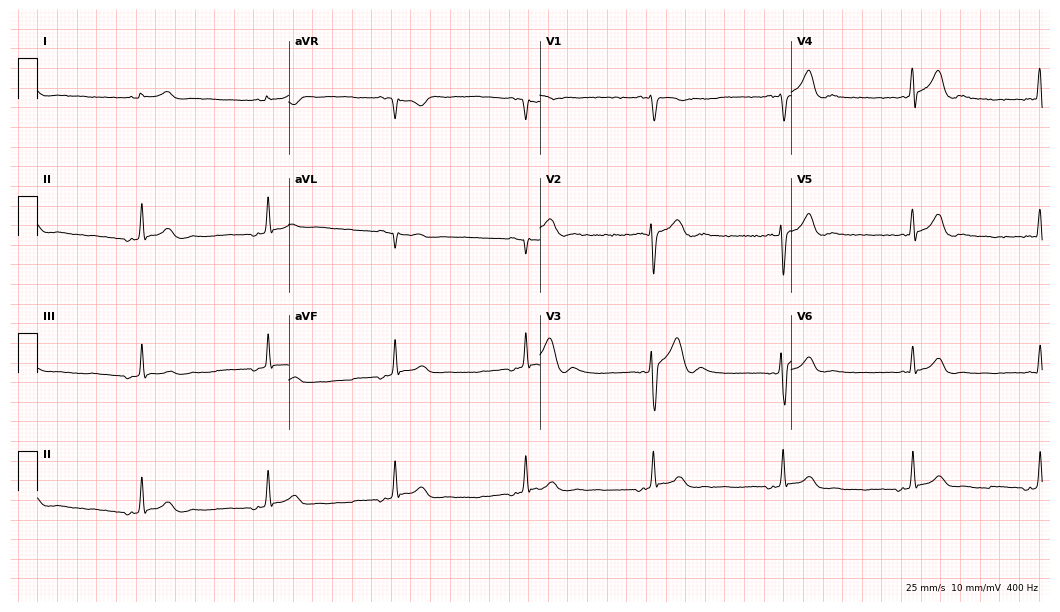
Resting 12-lead electrocardiogram. Patient: a male, 22 years old. None of these six findings is recorded: first-degree AV block, right bundle branch block, left bundle branch block, sinus bradycardia, atrial fibrillation, sinus tachycardia. Findings outside these six are not listed.